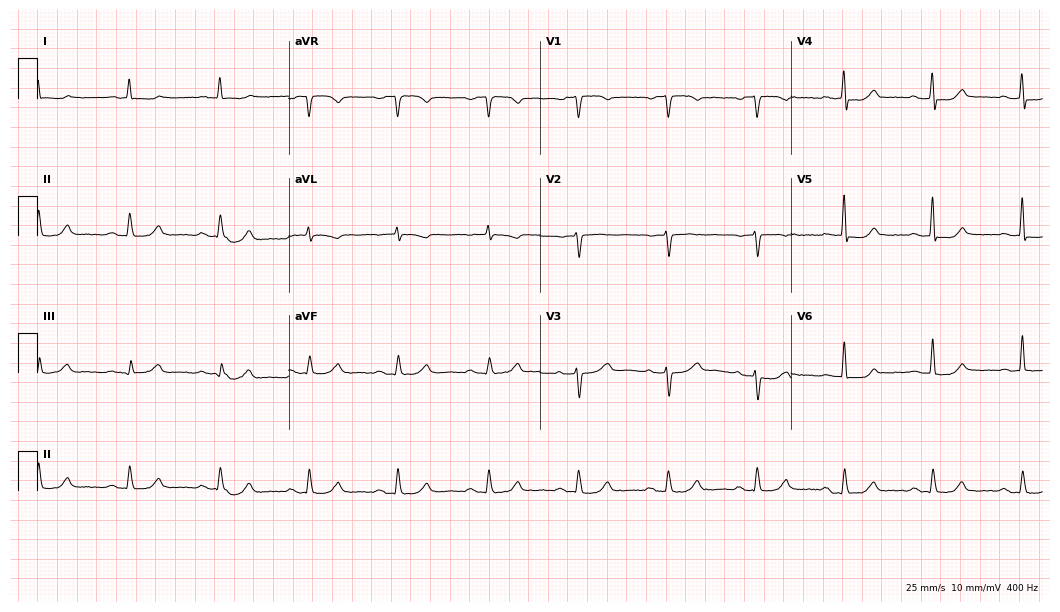
12-lead ECG from a 79-year-old female. Recorded interpretation: within normal limits.